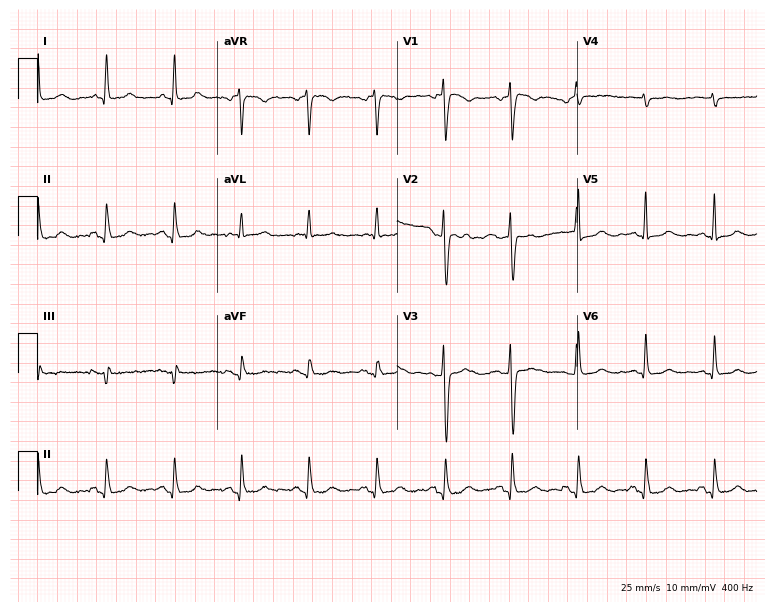
Resting 12-lead electrocardiogram. Patient: a 53-year-old female. None of these six findings is recorded: first-degree AV block, right bundle branch block, left bundle branch block, sinus bradycardia, atrial fibrillation, sinus tachycardia. Other findings, if any, are not listed.